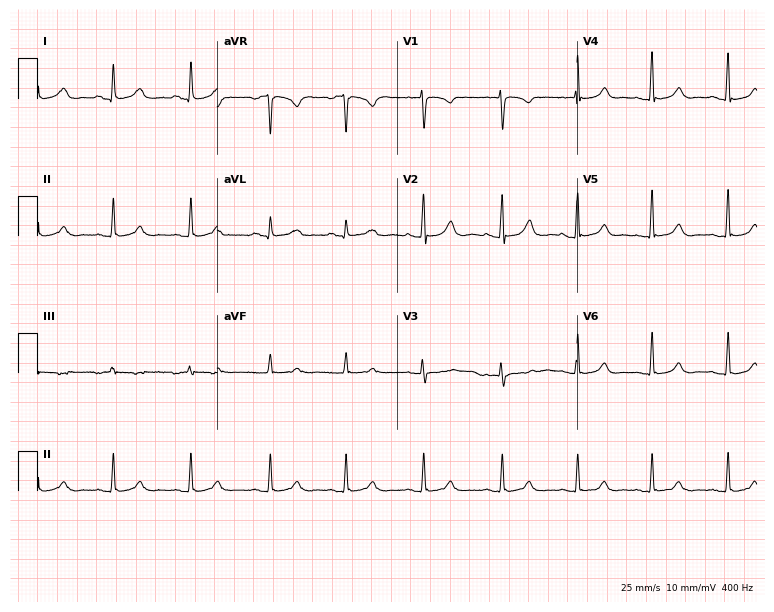
Electrocardiogram (7.3-second recording at 400 Hz), a woman, 31 years old. Overall reading on record: normal ECG.